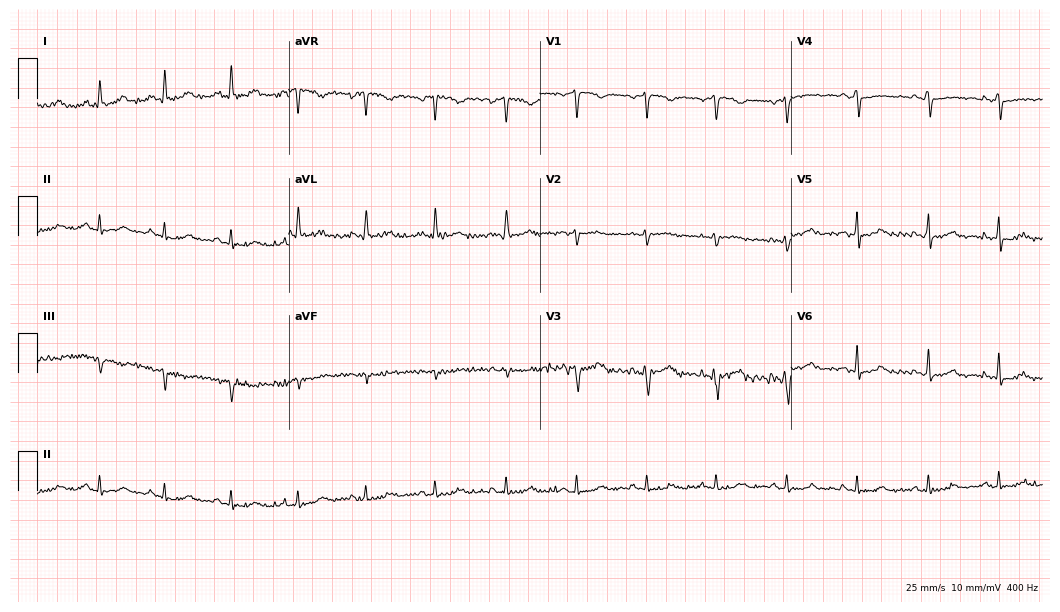
12-lead ECG from a 37-year-old woman. No first-degree AV block, right bundle branch block (RBBB), left bundle branch block (LBBB), sinus bradycardia, atrial fibrillation (AF) or sinus tachycardia recorded for this tracing.